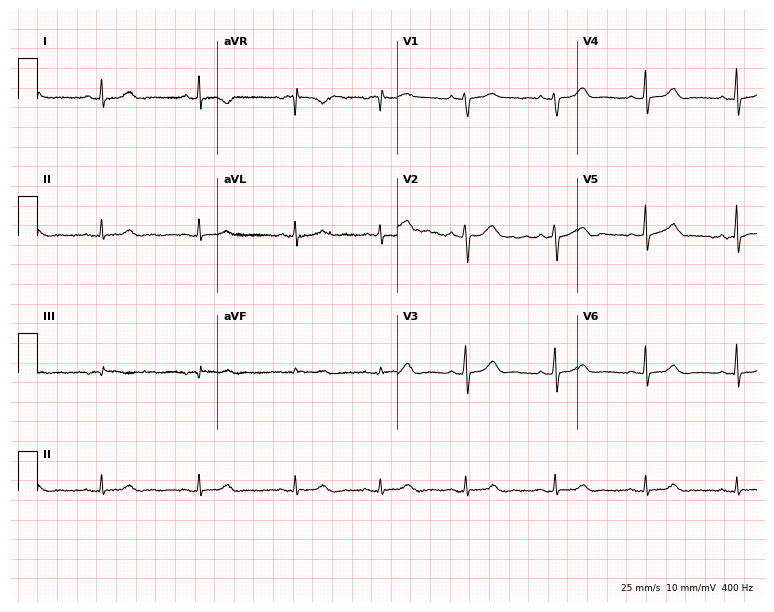
ECG (7.3-second recording at 400 Hz) — a 27-year-old female patient. Labelled as a normal ECG.